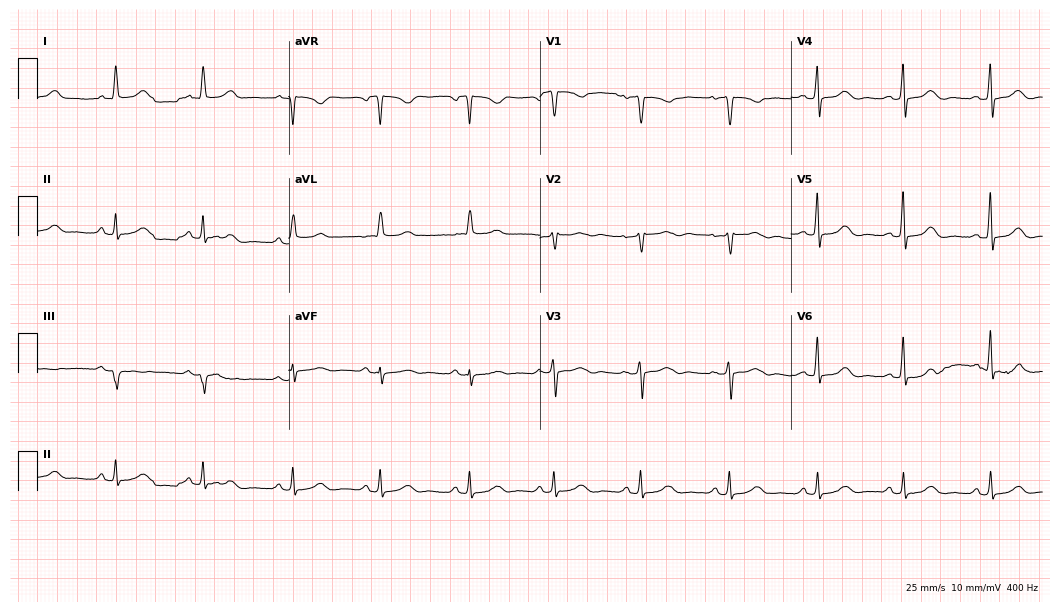
12-lead ECG from a female patient, 79 years old. Labelled as a normal ECG.